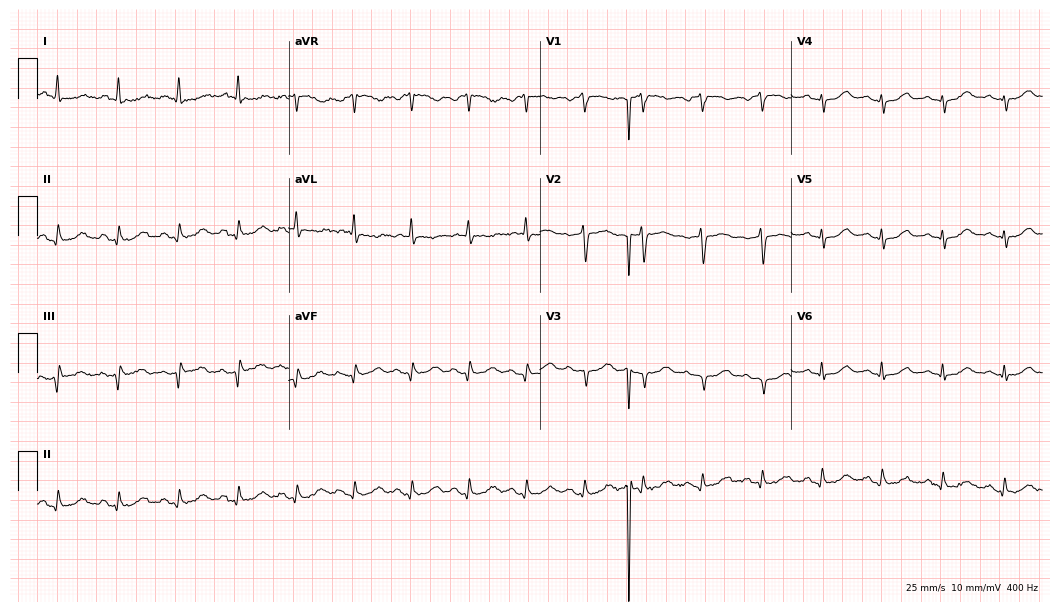
12-lead ECG (10.2-second recording at 400 Hz) from a 75-year-old female patient. Labelled as a normal ECG.